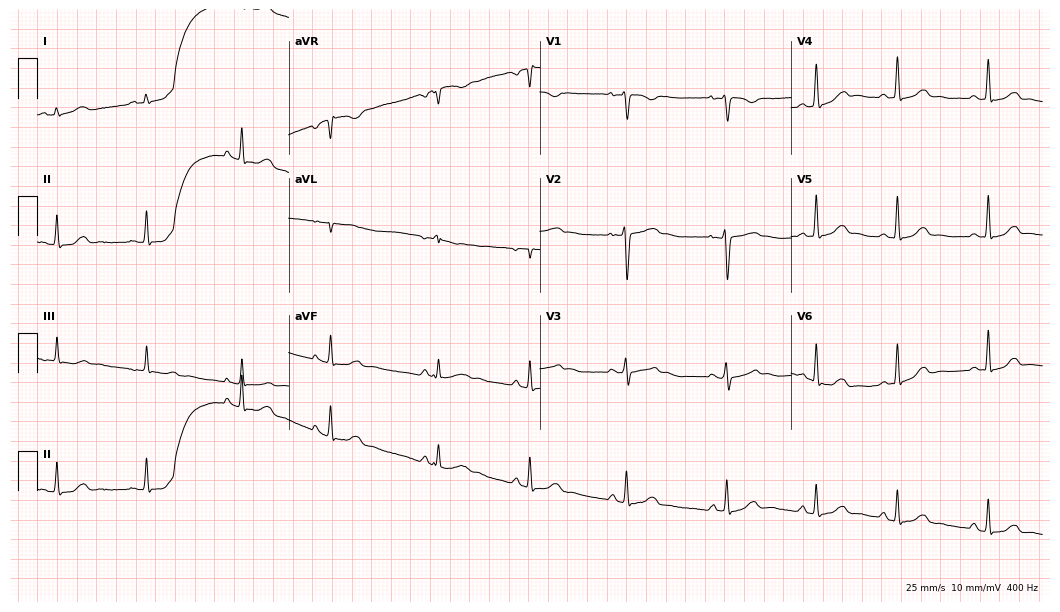
Electrocardiogram, a female patient, 29 years old. Overall reading on record: normal ECG.